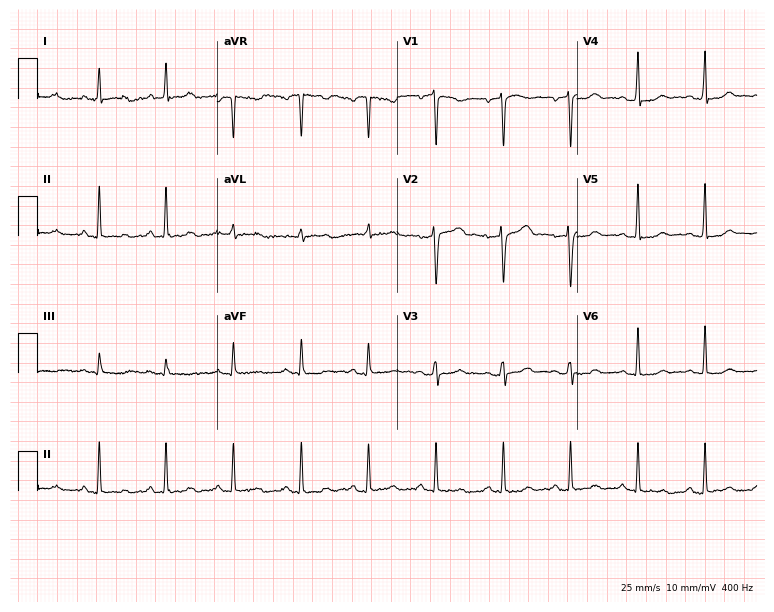
12-lead ECG from a 51-year-old woman (7.3-second recording at 400 Hz). No first-degree AV block, right bundle branch block, left bundle branch block, sinus bradycardia, atrial fibrillation or sinus tachycardia recorded for this tracing. Findings outside these six are not listed.